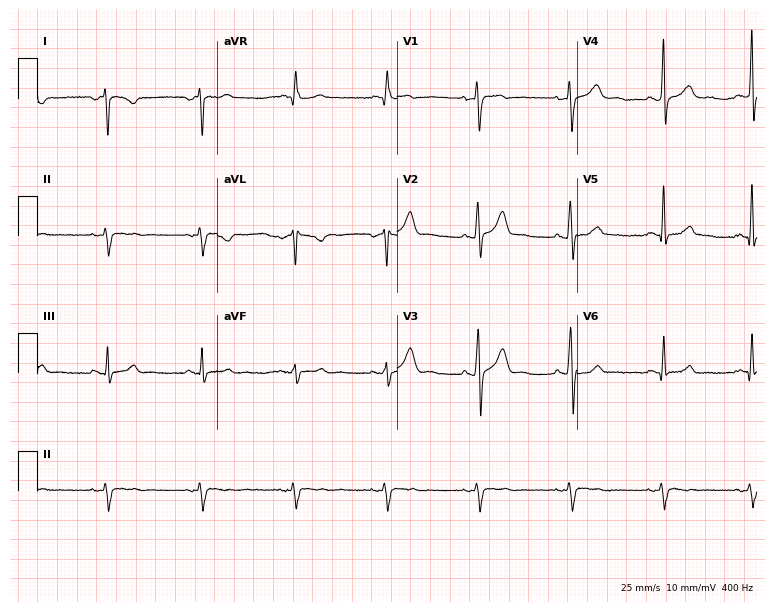
Electrocardiogram (7.3-second recording at 400 Hz), a 46-year-old male. Of the six screened findings (first-degree AV block, right bundle branch block, left bundle branch block, sinus bradycardia, atrial fibrillation, sinus tachycardia), none is recorded. Other findings, if any, are not listed.